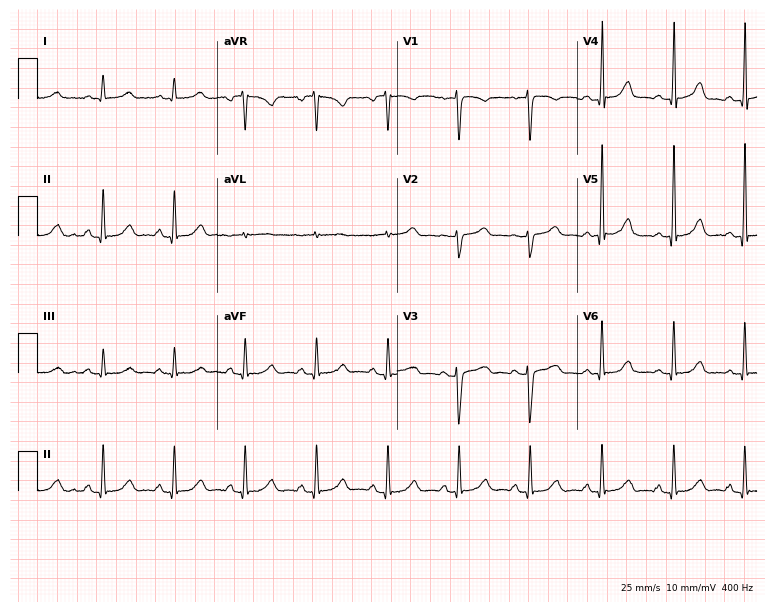
Electrocardiogram, a 48-year-old woman. Of the six screened findings (first-degree AV block, right bundle branch block, left bundle branch block, sinus bradycardia, atrial fibrillation, sinus tachycardia), none is recorded. Only these six findings were labelled.